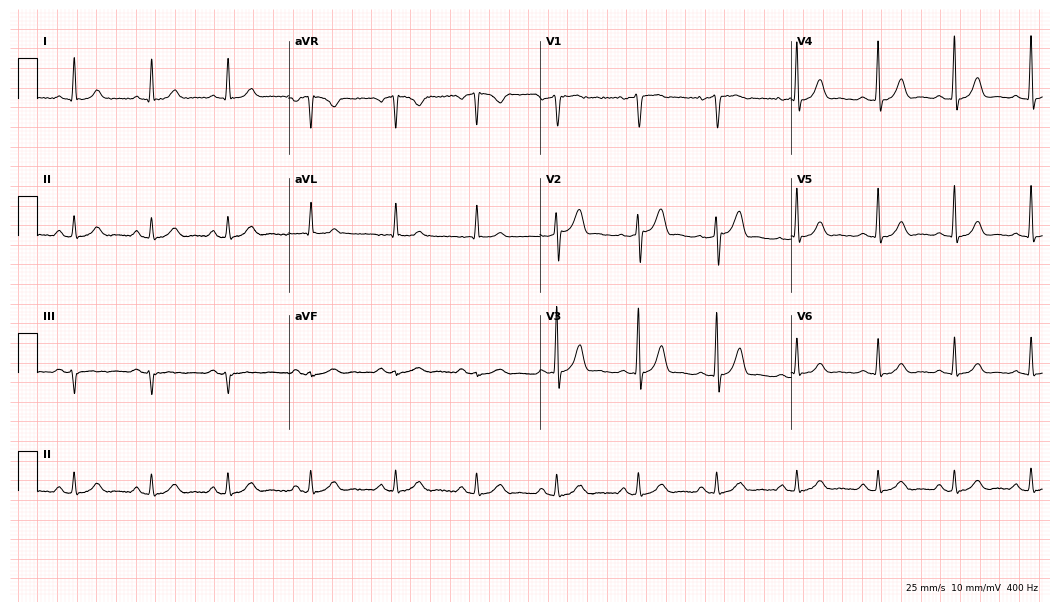
ECG (10.2-second recording at 400 Hz) — a male, 73 years old. Labelled as a normal ECG.